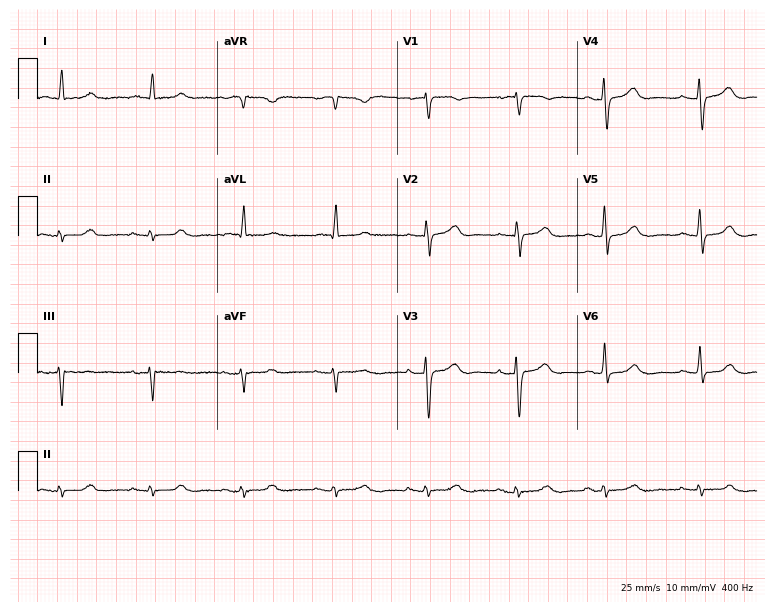
ECG (7.3-second recording at 400 Hz) — an 84-year-old male. Labelled as a normal ECG.